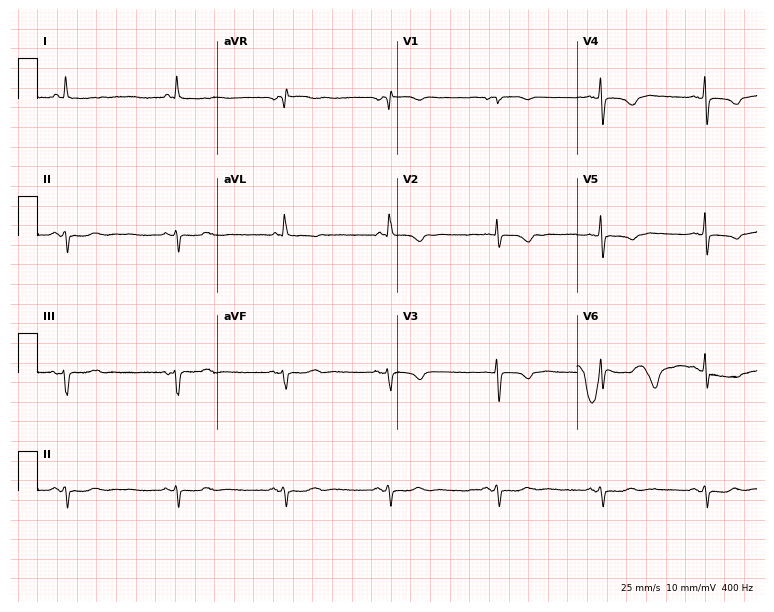
Resting 12-lead electrocardiogram. Patient: a female, 85 years old. None of these six findings is recorded: first-degree AV block, right bundle branch block, left bundle branch block, sinus bradycardia, atrial fibrillation, sinus tachycardia. Other findings, if any, are not listed.